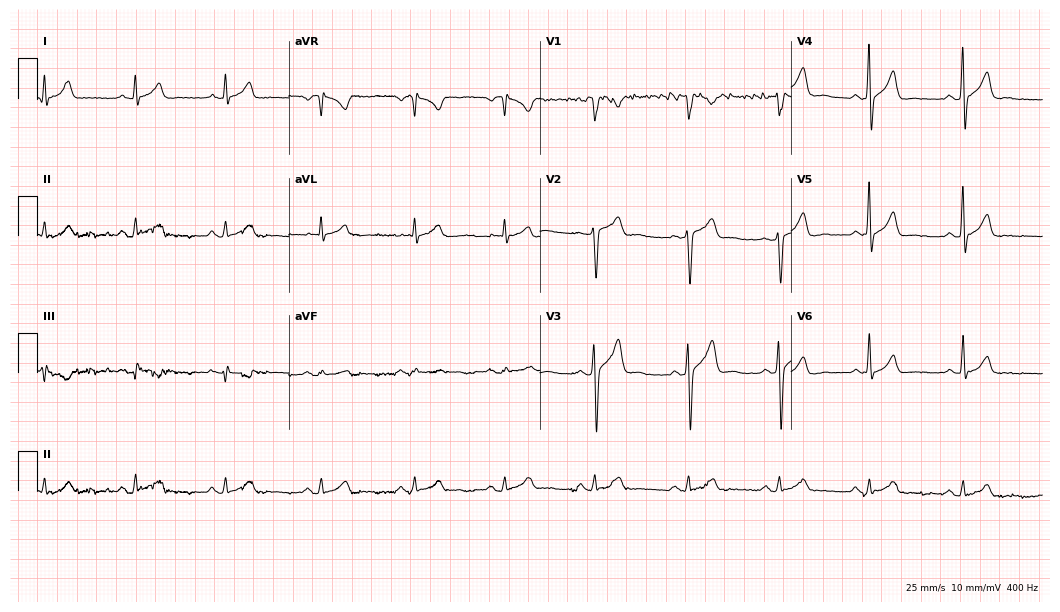
Resting 12-lead electrocardiogram. Patient: a man, 46 years old. Read as a normal ECG.